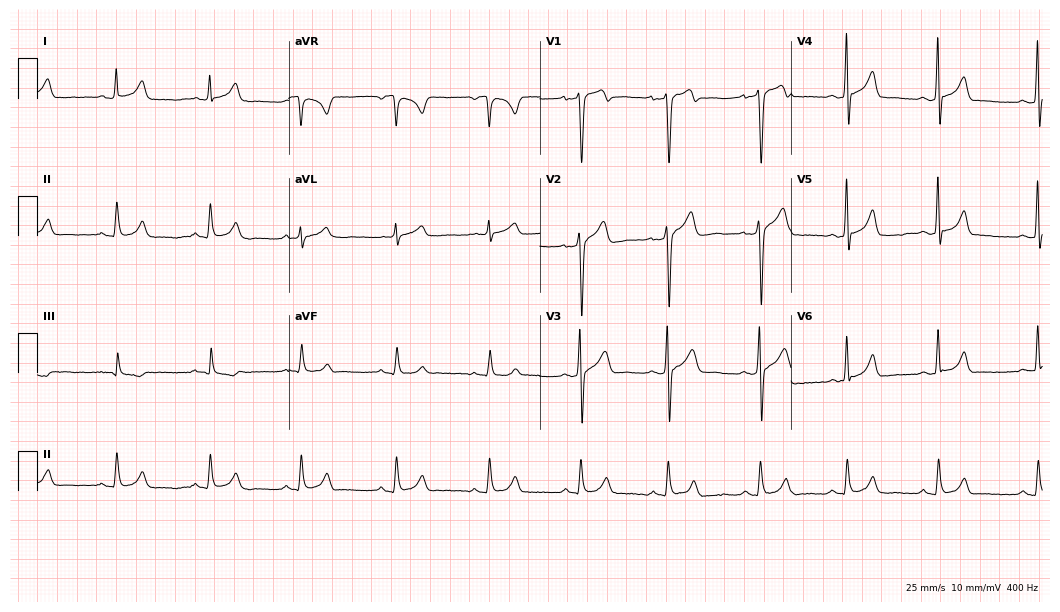
12-lead ECG from a 35-year-old male patient. No first-degree AV block, right bundle branch block (RBBB), left bundle branch block (LBBB), sinus bradycardia, atrial fibrillation (AF) or sinus tachycardia recorded for this tracing.